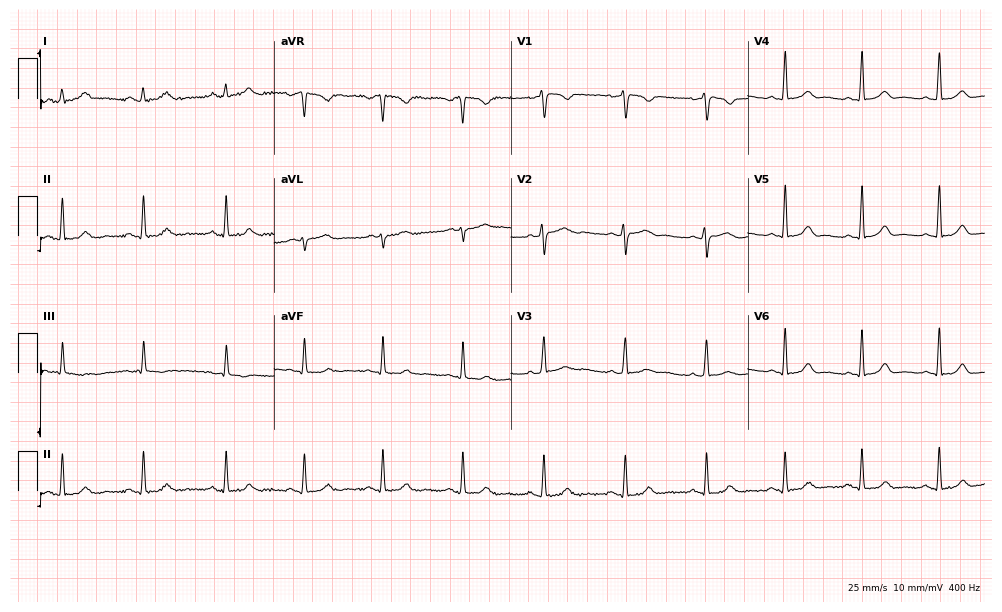
12-lead ECG (9.7-second recording at 400 Hz) from a 26-year-old female. Labelled as a normal ECG.